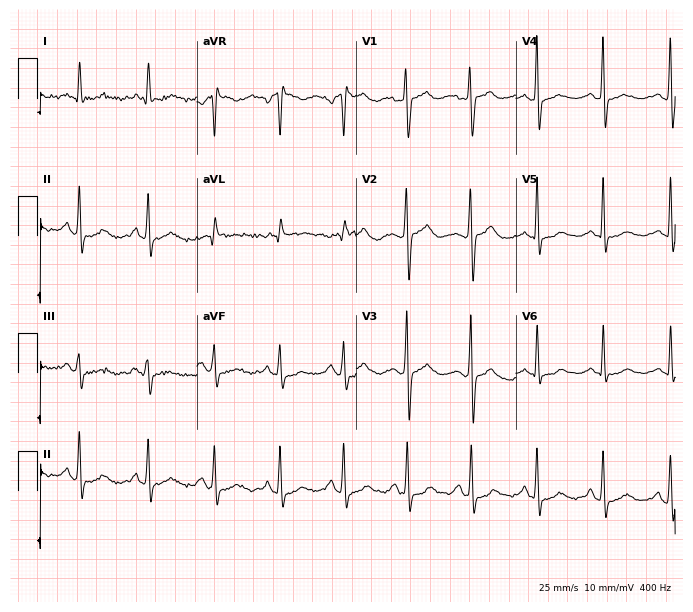
Electrocardiogram, a 55-year-old female patient. Of the six screened findings (first-degree AV block, right bundle branch block (RBBB), left bundle branch block (LBBB), sinus bradycardia, atrial fibrillation (AF), sinus tachycardia), none is recorded. Only these six findings were labelled.